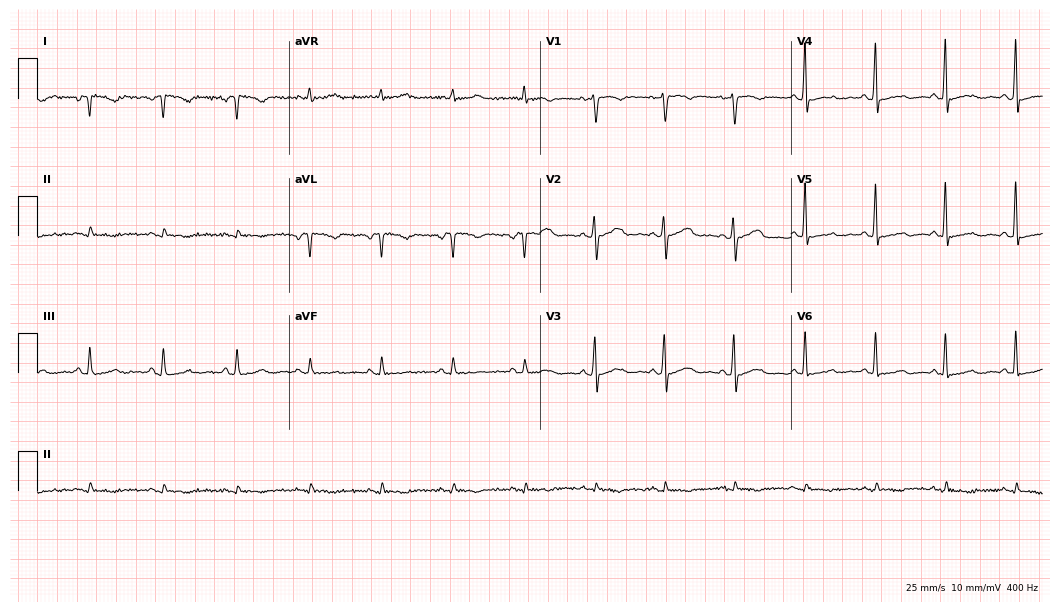
12-lead ECG from a 43-year-old female patient (10.2-second recording at 400 Hz). No first-degree AV block, right bundle branch block, left bundle branch block, sinus bradycardia, atrial fibrillation or sinus tachycardia recorded for this tracing.